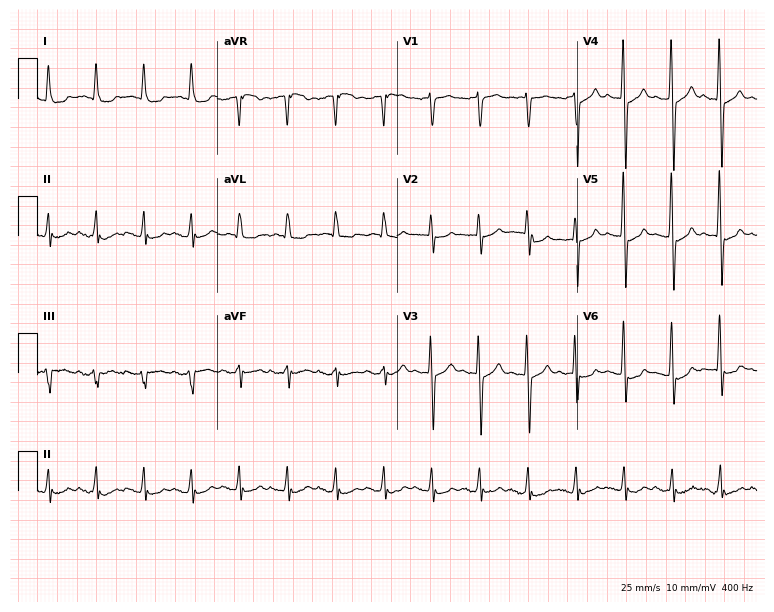
Electrocardiogram, an 84-year-old female patient. Interpretation includes sinus tachycardia (a sinus rate of 100 beats per minute or more).